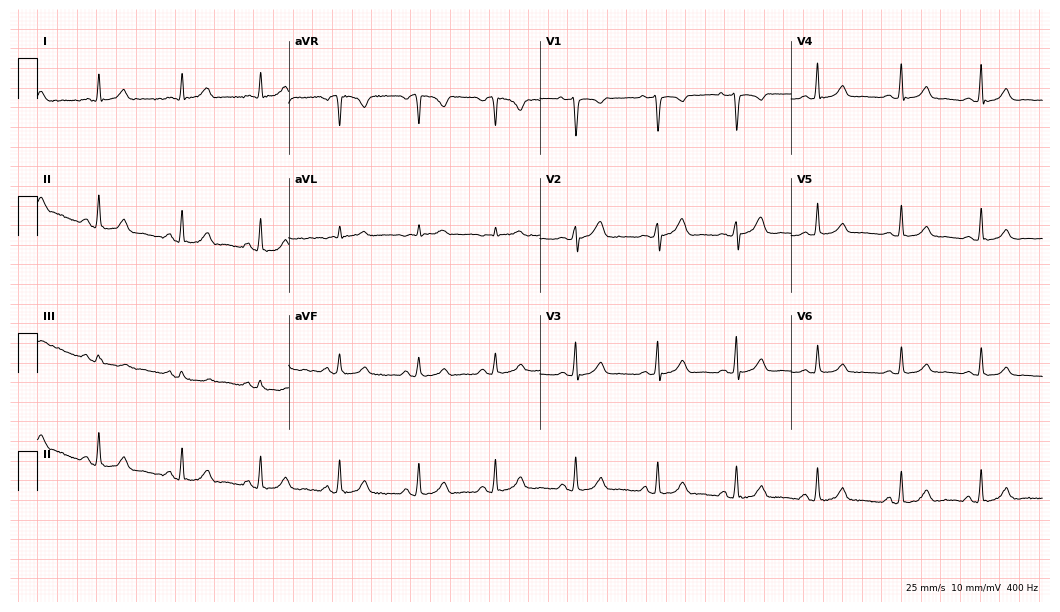
ECG — a 25-year-old female. Screened for six findings — first-degree AV block, right bundle branch block, left bundle branch block, sinus bradycardia, atrial fibrillation, sinus tachycardia — none is recorded. Findings outside these six are not listed.